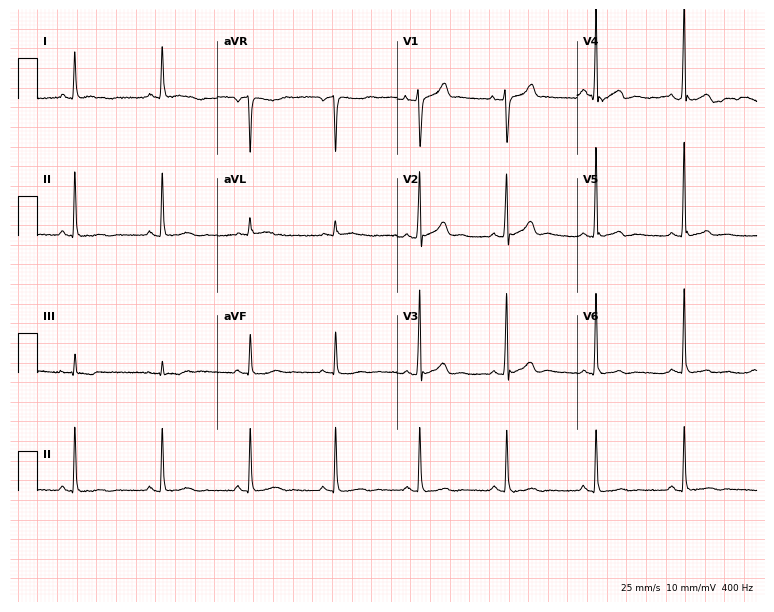
Electrocardiogram, a 44-year-old man. Overall reading on record: normal ECG.